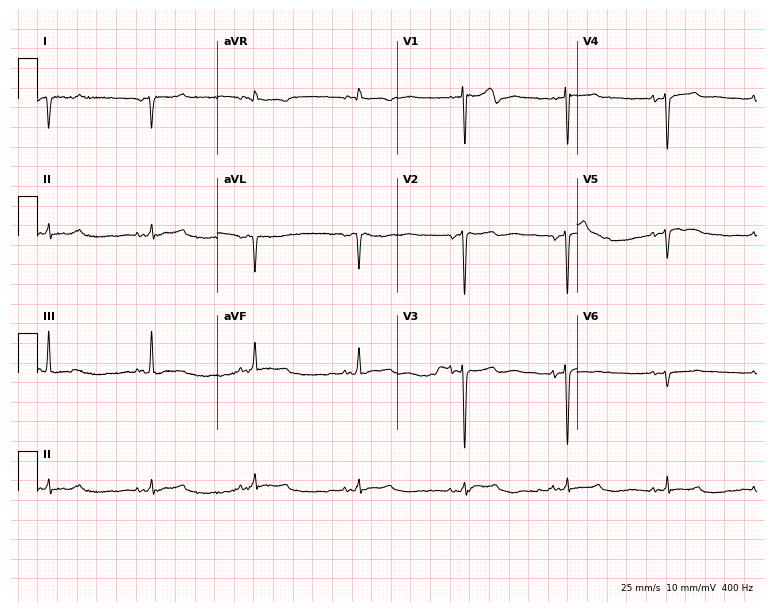
Electrocardiogram (7.3-second recording at 400 Hz), a 79-year-old male patient. Of the six screened findings (first-degree AV block, right bundle branch block, left bundle branch block, sinus bradycardia, atrial fibrillation, sinus tachycardia), none is recorded. Findings outside these six are not listed.